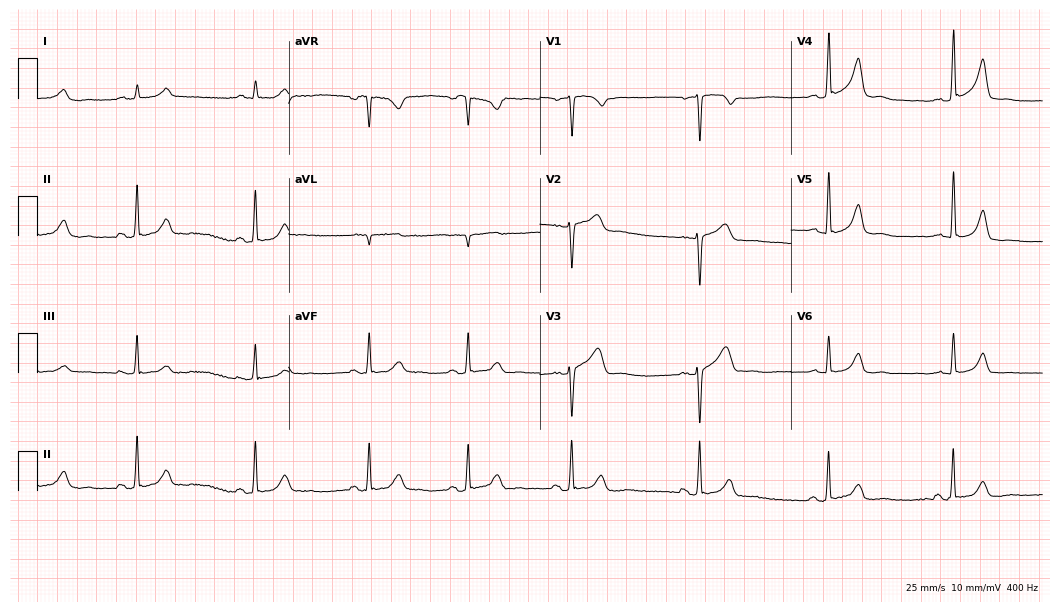
Resting 12-lead electrocardiogram (10.2-second recording at 400 Hz). Patient: a 47-year-old female. None of these six findings is recorded: first-degree AV block, right bundle branch block, left bundle branch block, sinus bradycardia, atrial fibrillation, sinus tachycardia. Findings outside these six are not listed.